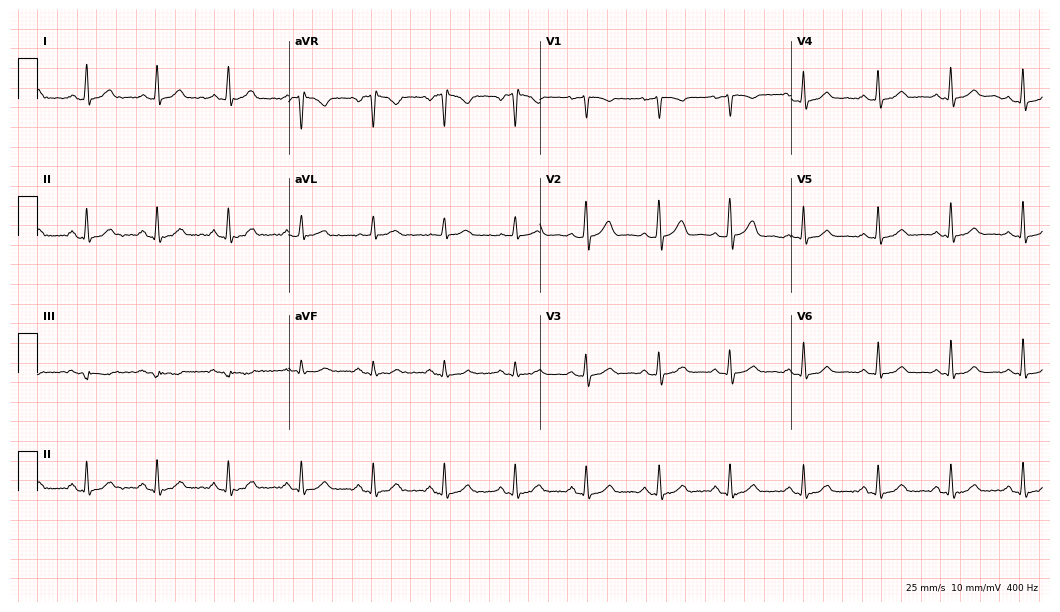
ECG (10.2-second recording at 400 Hz) — a 48-year-old female patient. Labelled as a normal ECG.